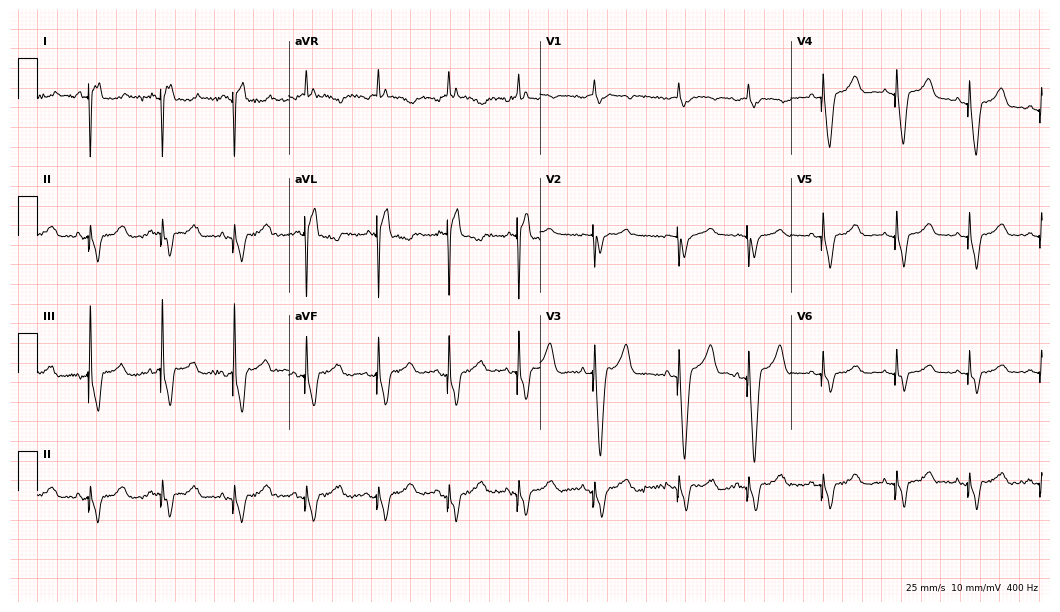
Electrocardiogram (10.2-second recording at 400 Hz), a 76-year-old female patient. Of the six screened findings (first-degree AV block, right bundle branch block, left bundle branch block, sinus bradycardia, atrial fibrillation, sinus tachycardia), none is recorded. Other findings, if any, are not listed.